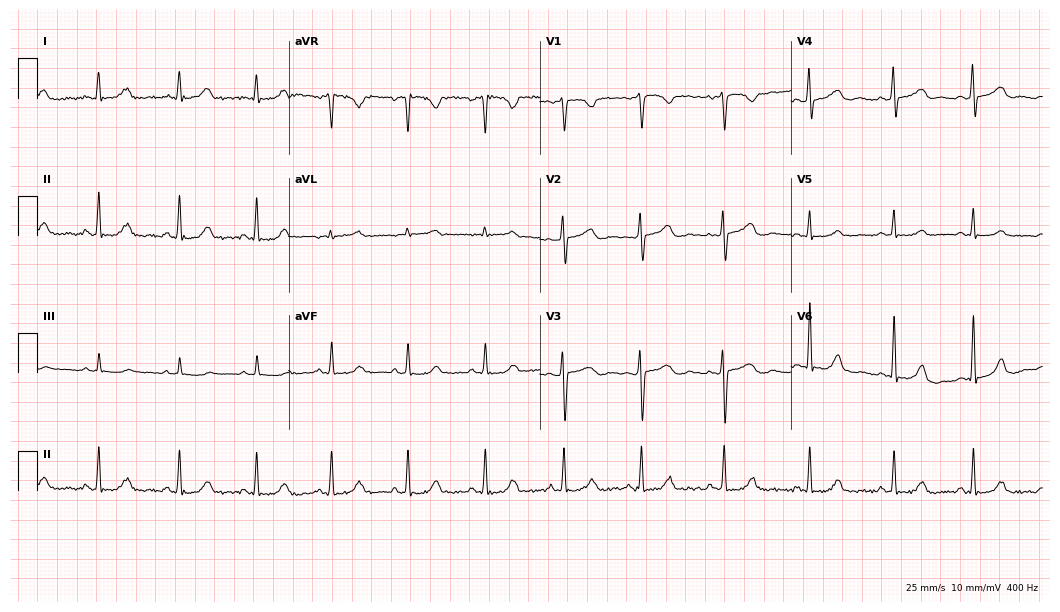
12-lead ECG from a 32-year-old female. Recorded interpretation: within normal limits.